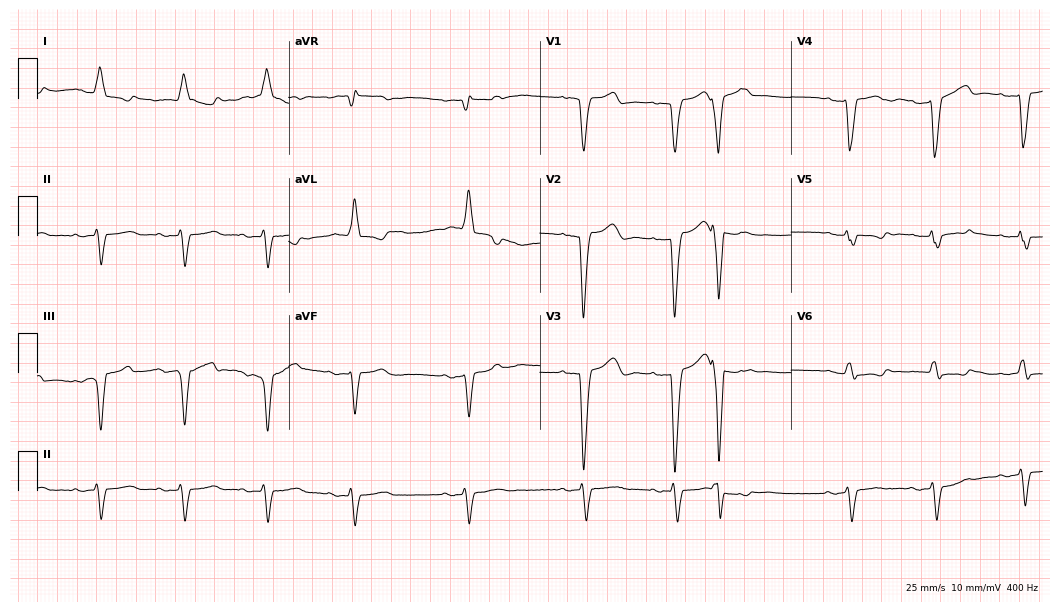
Standard 12-lead ECG recorded from a woman, 86 years old. The tracing shows left bundle branch block, atrial fibrillation.